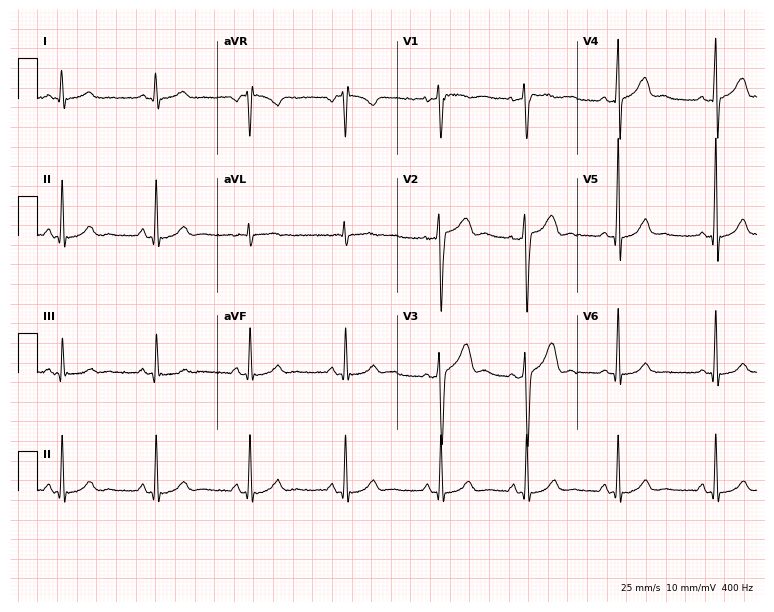
ECG (7.3-second recording at 400 Hz) — a man, 24 years old. Screened for six findings — first-degree AV block, right bundle branch block, left bundle branch block, sinus bradycardia, atrial fibrillation, sinus tachycardia — none is recorded. Other findings, if any, are not listed.